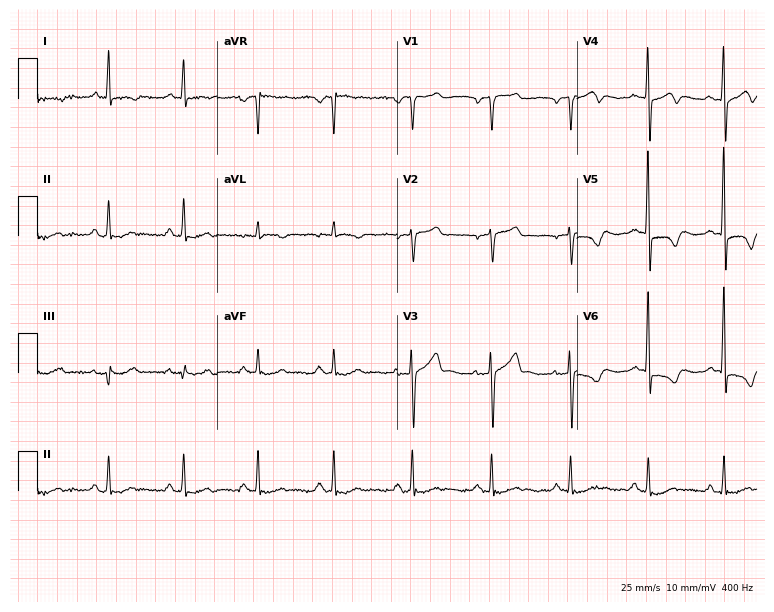
12-lead ECG from a 60-year-old male. Screened for six findings — first-degree AV block, right bundle branch block, left bundle branch block, sinus bradycardia, atrial fibrillation, sinus tachycardia — none is recorded. Only these six findings were labelled.